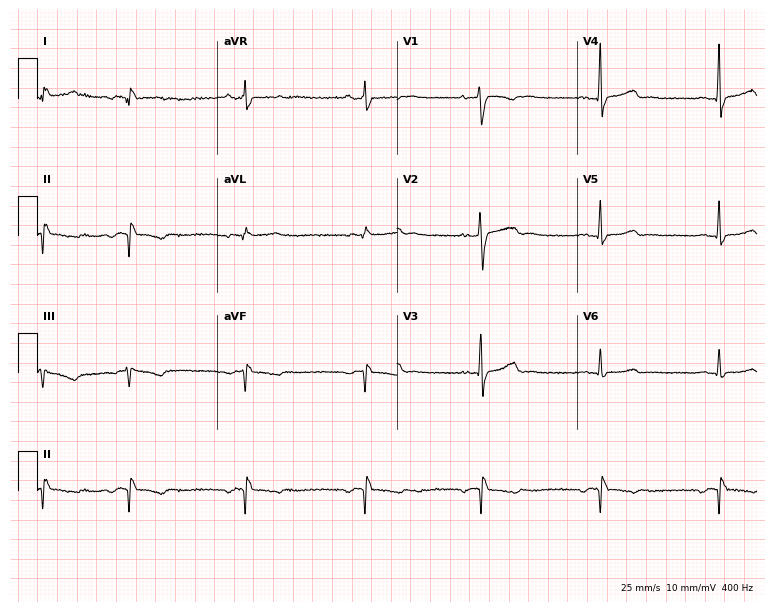
ECG (7.3-second recording at 400 Hz) — a 22-year-old female patient. Screened for six findings — first-degree AV block, right bundle branch block, left bundle branch block, sinus bradycardia, atrial fibrillation, sinus tachycardia — none is recorded. Findings outside these six are not listed.